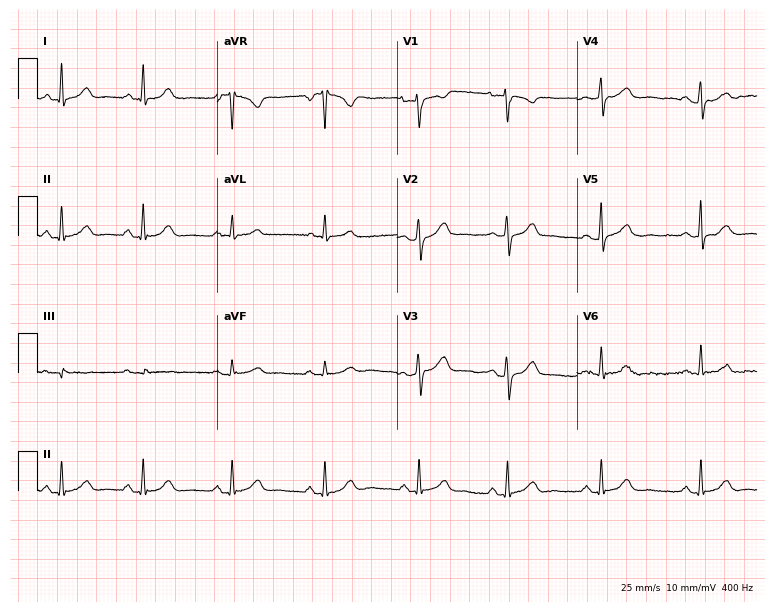
ECG — a 41-year-old female. Screened for six findings — first-degree AV block, right bundle branch block (RBBB), left bundle branch block (LBBB), sinus bradycardia, atrial fibrillation (AF), sinus tachycardia — none is recorded. Other findings, if any, are not listed.